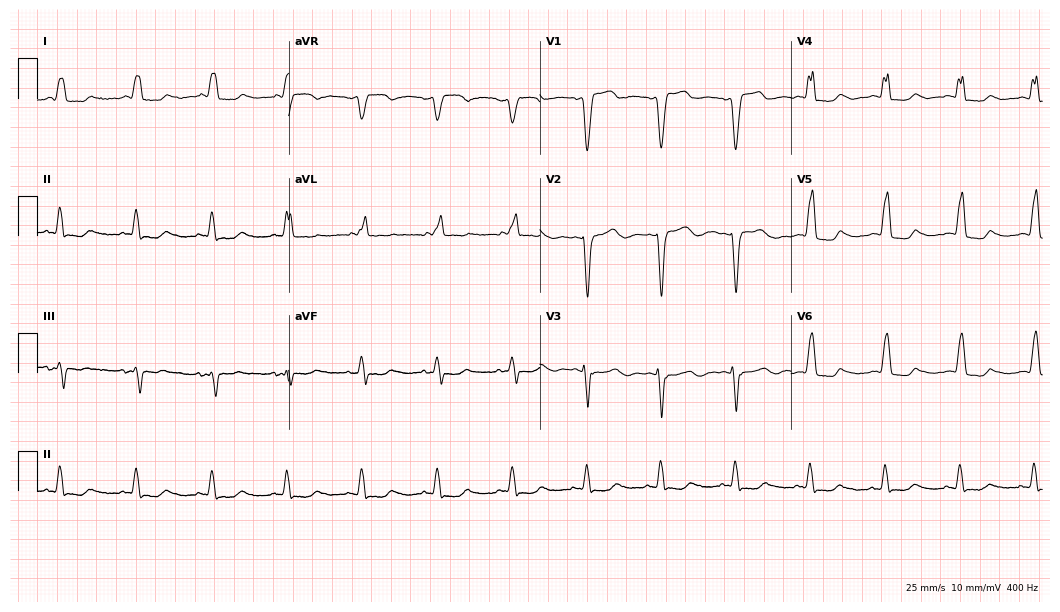
Resting 12-lead electrocardiogram (10.2-second recording at 400 Hz). Patient: a woman, 81 years old. None of these six findings is recorded: first-degree AV block, right bundle branch block (RBBB), left bundle branch block (LBBB), sinus bradycardia, atrial fibrillation (AF), sinus tachycardia.